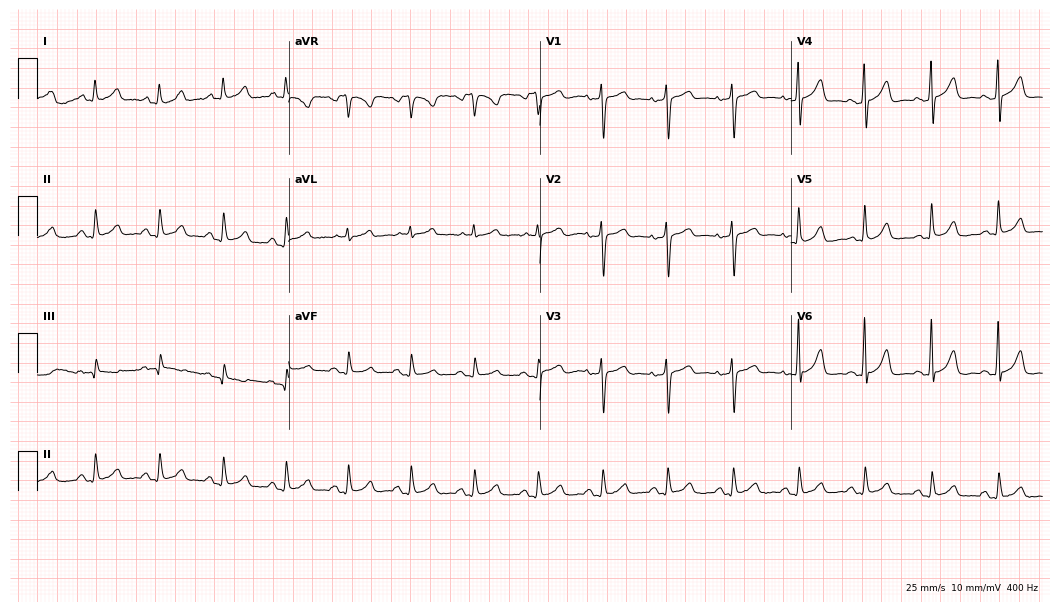
ECG (10.2-second recording at 400 Hz) — a 70-year-old male patient. Labelled as a normal ECG.